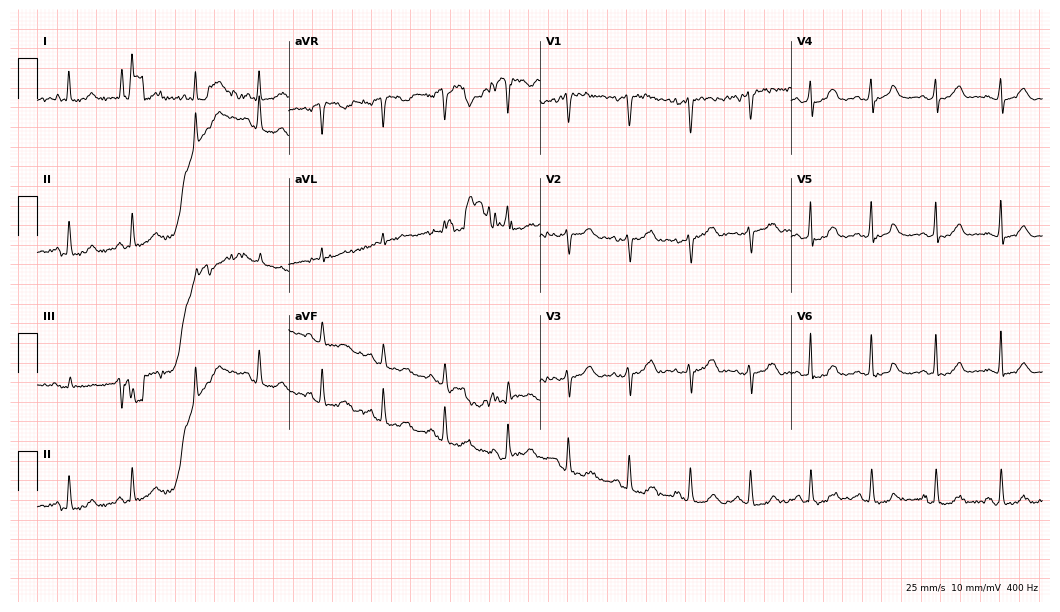
Resting 12-lead electrocardiogram (10.2-second recording at 400 Hz). Patient: a female, 48 years old. None of these six findings is recorded: first-degree AV block, right bundle branch block, left bundle branch block, sinus bradycardia, atrial fibrillation, sinus tachycardia.